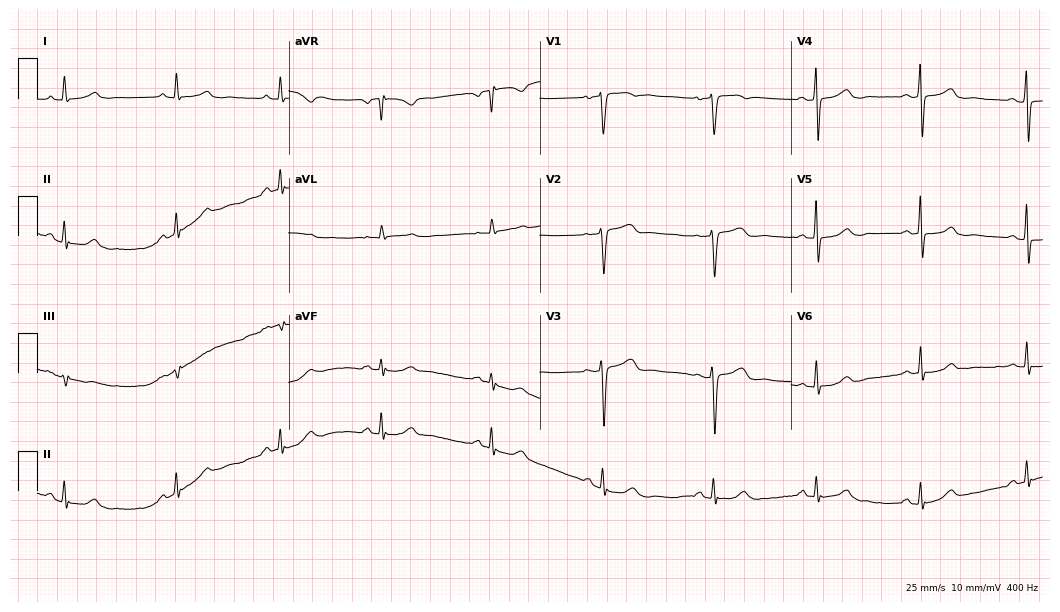
ECG (10.2-second recording at 400 Hz) — a woman, 54 years old. Screened for six findings — first-degree AV block, right bundle branch block, left bundle branch block, sinus bradycardia, atrial fibrillation, sinus tachycardia — none is recorded.